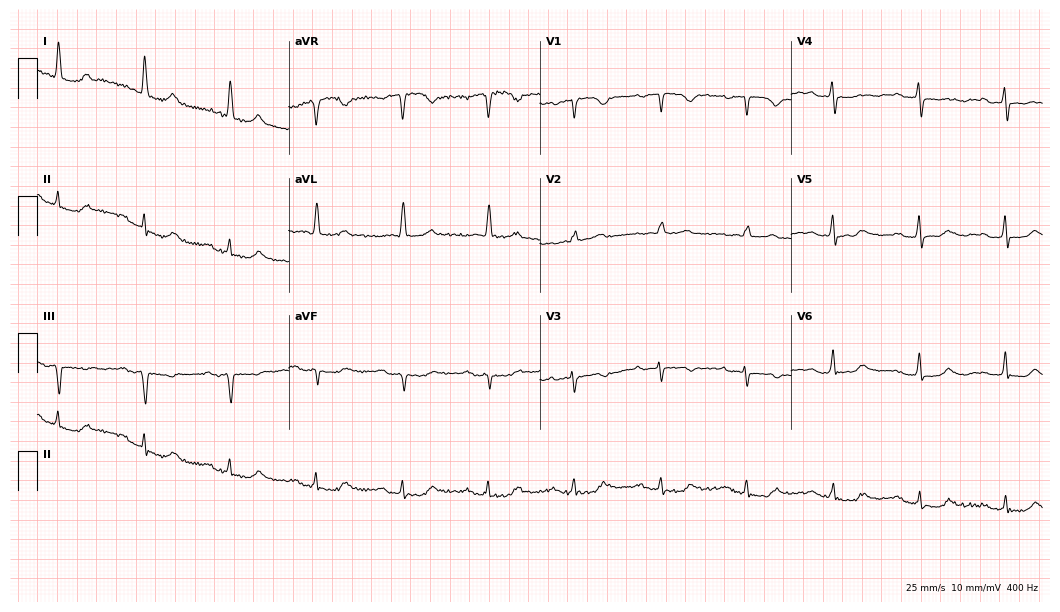
ECG (10.2-second recording at 400 Hz) — a female patient, 79 years old. Screened for six findings — first-degree AV block, right bundle branch block, left bundle branch block, sinus bradycardia, atrial fibrillation, sinus tachycardia — none is recorded. Findings outside these six are not listed.